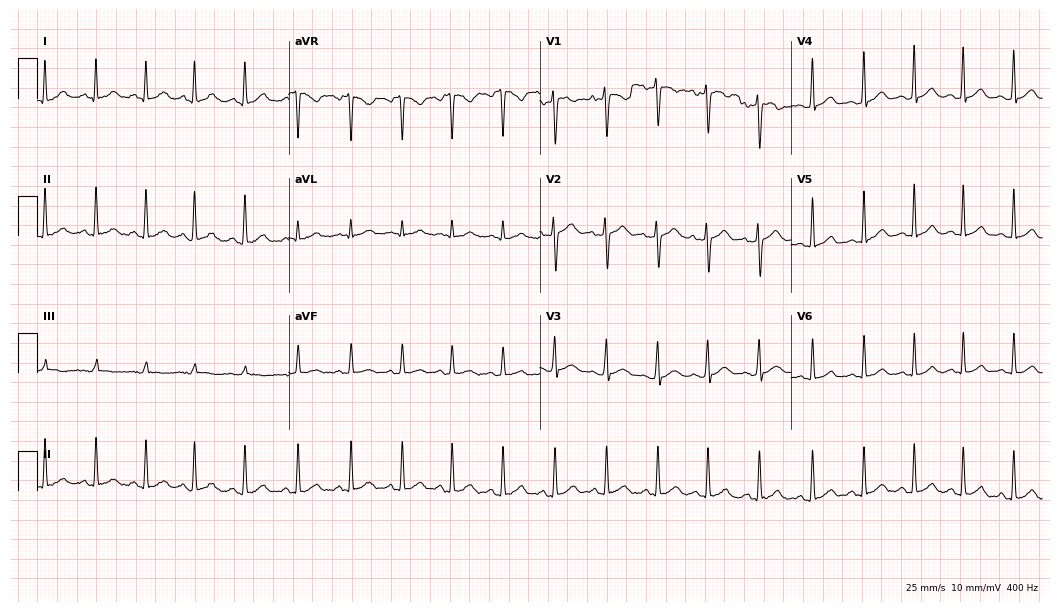
Standard 12-lead ECG recorded from a female patient, 21 years old. The tracing shows sinus tachycardia (a sinus rate of 100 beats per minute or more).